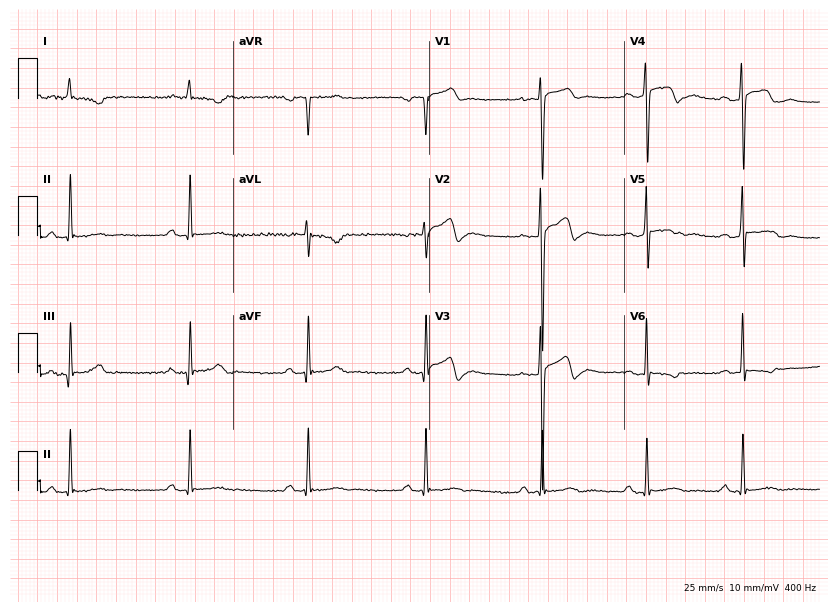
ECG (8-second recording at 400 Hz) — a male patient, 30 years old. Screened for six findings — first-degree AV block, right bundle branch block (RBBB), left bundle branch block (LBBB), sinus bradycardia, atrial fibrillation (AF), sinus tachycardia — none is recorded.